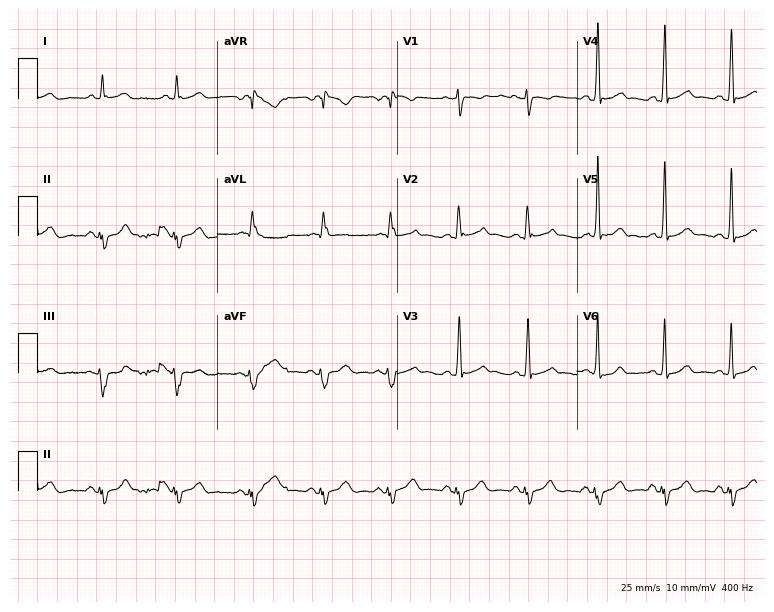
ECG (7.3-second recording at 400 Hz) — a 33-year-old male. Screened for six findings — first-degree AV block, right bundle branch block (RBBB), left bundle branch block (LBBB), sinus bradycardia, atrial fibrillation (AF), sinus tachycardia — none is recorded. Other findings, if any, are not listed.